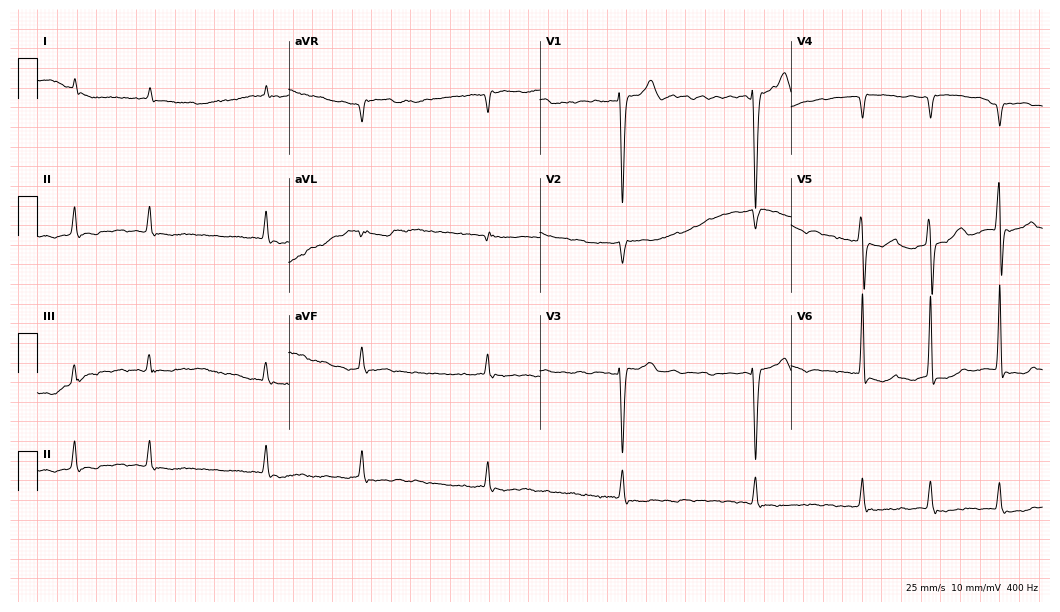
12-lead ECG from a 73-year-old male. Shows atrial fibrillation.